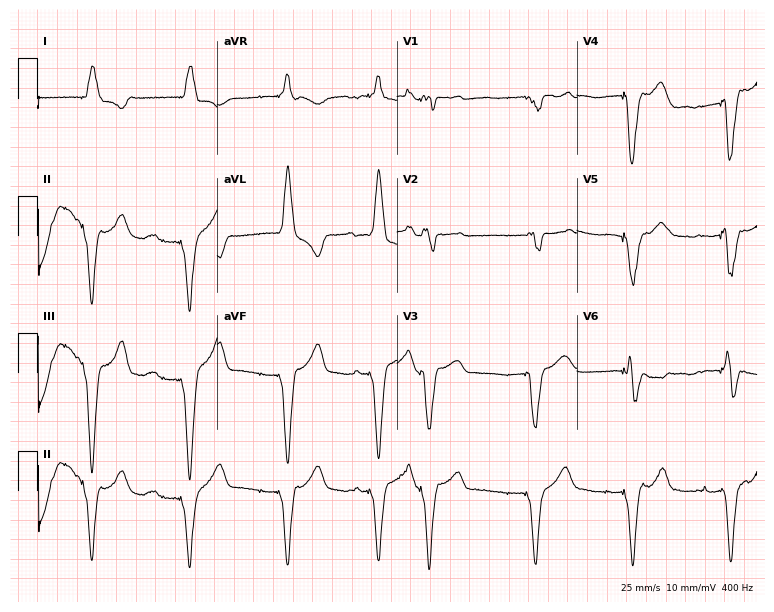
Resting 12-lead electrocardiogram (7.3-second recording at 400 Hz). Patient: a female, 85 years old. None of these six findings is recorded: first-degree AV block, right bundle branch block, left bundle branch block, sinus bradycardia, atrial fibrillation, sinus tachycardia.